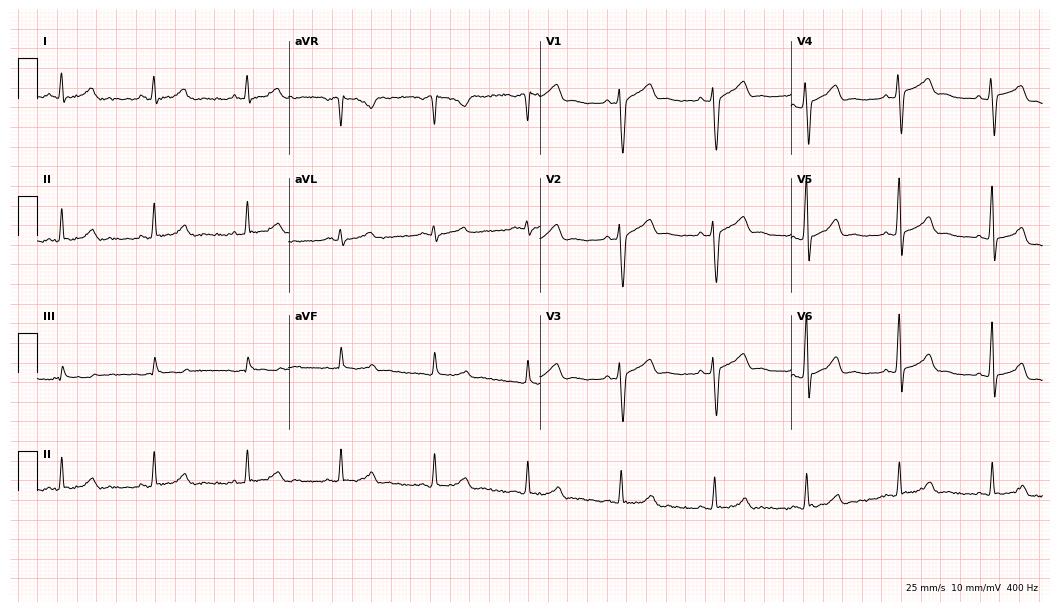
12-lead ECG (10.2-second recording at 400 Hz) from a 50-year-old man. Screened for six findings — first-degree AV block, right bundle branch block (RBBB), left bundle branch block (LBBB), sinus bradycardia, atrial fibrillation (AF), sinus tachycardia — none is recorded.